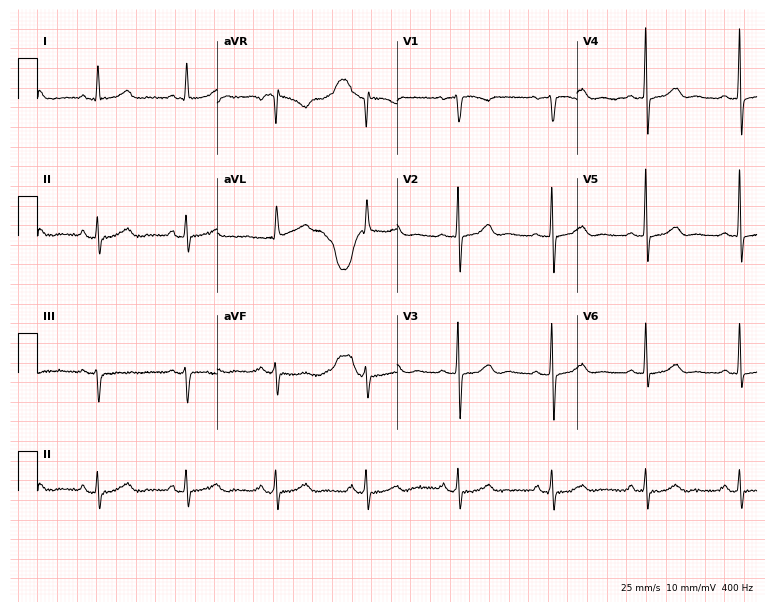
ECG (7.3-second recording at 400 Hz) — a female, 75 years old. Labelled as a normal ECG.